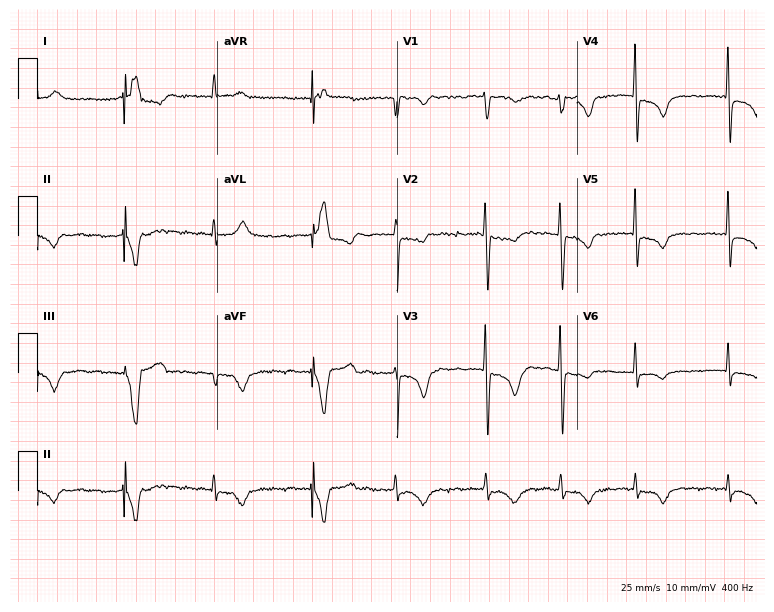
Electrocardiogram, a 78-year-old female. Of the six screened findings (first-degree AV block, right bundle branch block (RBBB), left bundle branch block (LBBB), sinus bradycardia, atrial fibrillation (AF), sinus tachycardia), none is recorded.